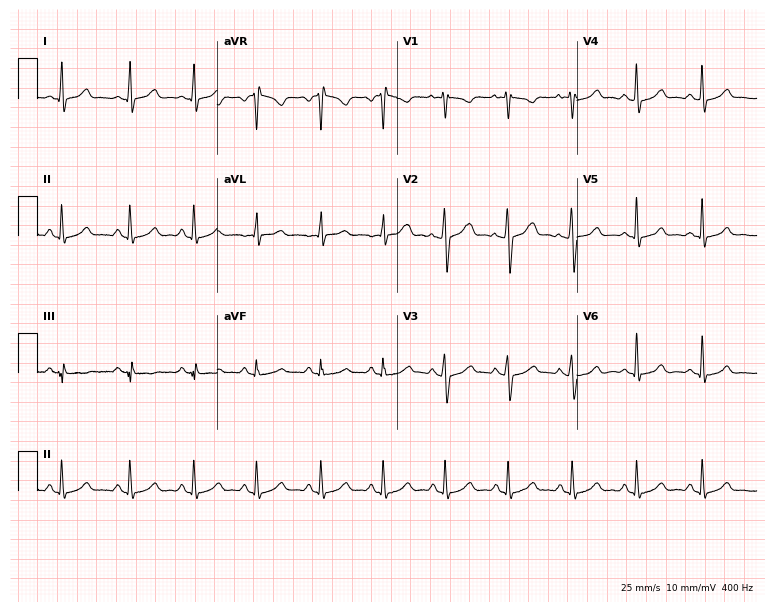
Electrocardiogram (7.3-second recording at 400 Hz), a female, 17 years old. Overall reading on record: normal ECG.